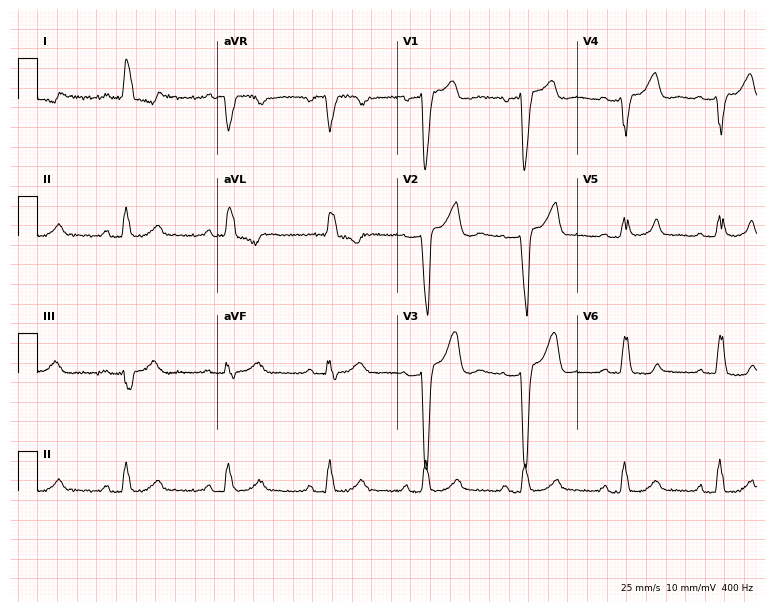
12-lead ECG from a woman, 85 years old (7.3-second recording at 400 Hz). Shows left bundle branch block (LBBB).